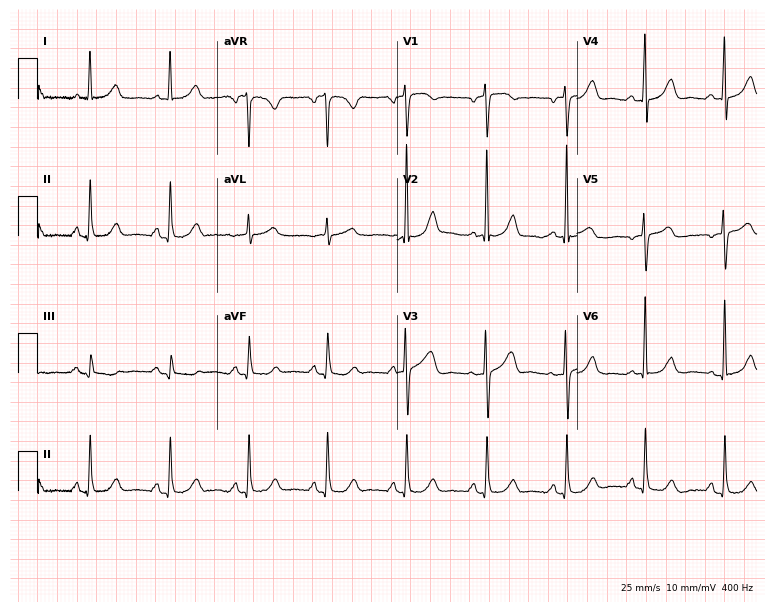
ECG (7.3-second recording at 400 Hz) — a 64-year-old female. Labelled as a normal ECG.